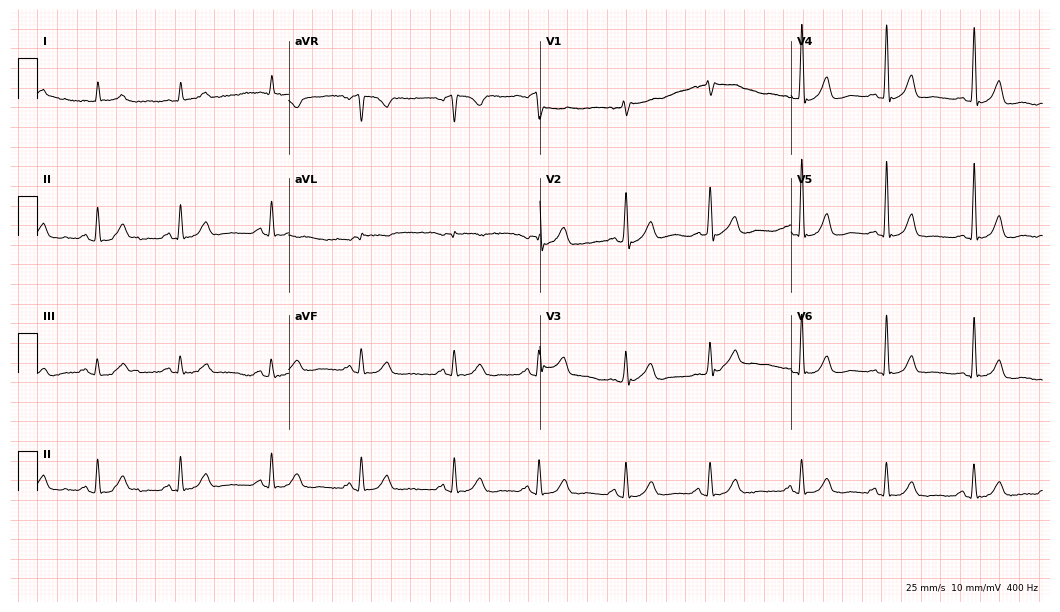
Electrocardiogram (10.2-second recording at 400 Hz), a 70-year-old male. Overall reading on record: normal ECG.